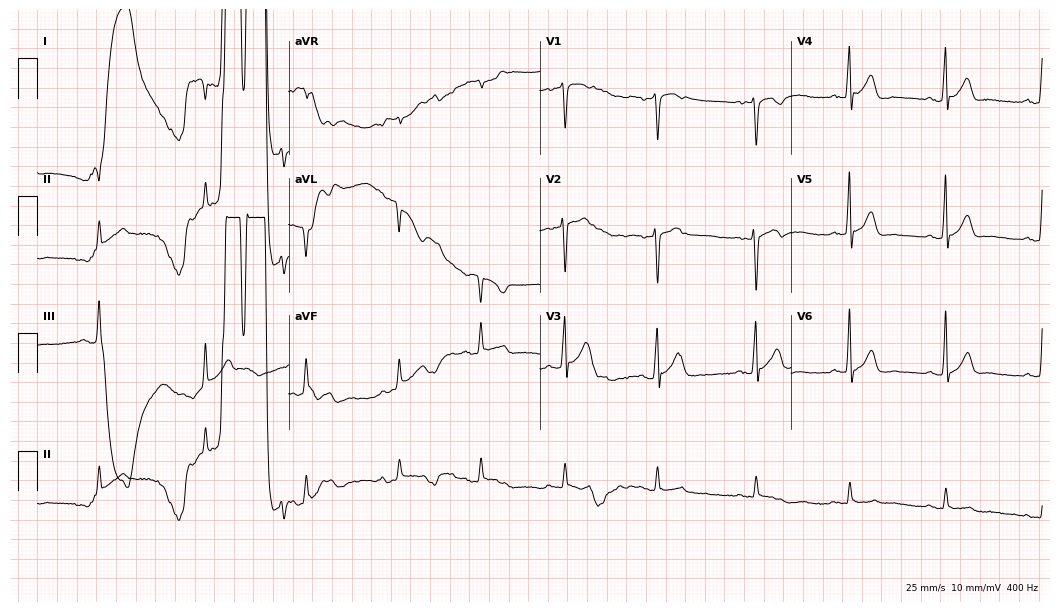
Standard 12-lead ECG recorded from a 36-year-old male. None of these six findings is recorded: first-degree AV block, right bundle branch block, left bundle branch block, sinus bradycardia, atrial fibrillation, sinus tachycardia. Findings outside these six are not listed.